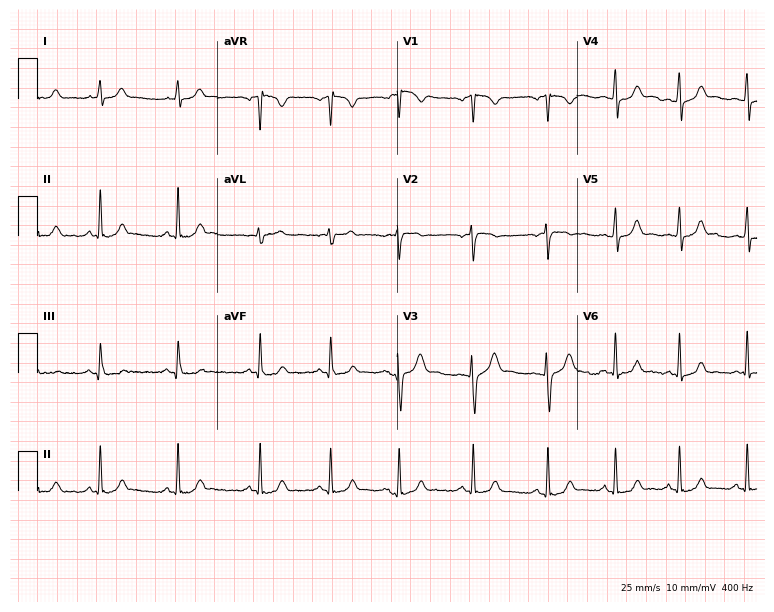
Resting 12-lead electrocardiogram (7.3-second recording at 400 Hz). Patient: an 18-year-old female. None of these six findings is recorded: first-degree AV block, right bundle branch block, left bundle branch block, sinus bradycardia, atrial fibrillation, sinus tachycardia.